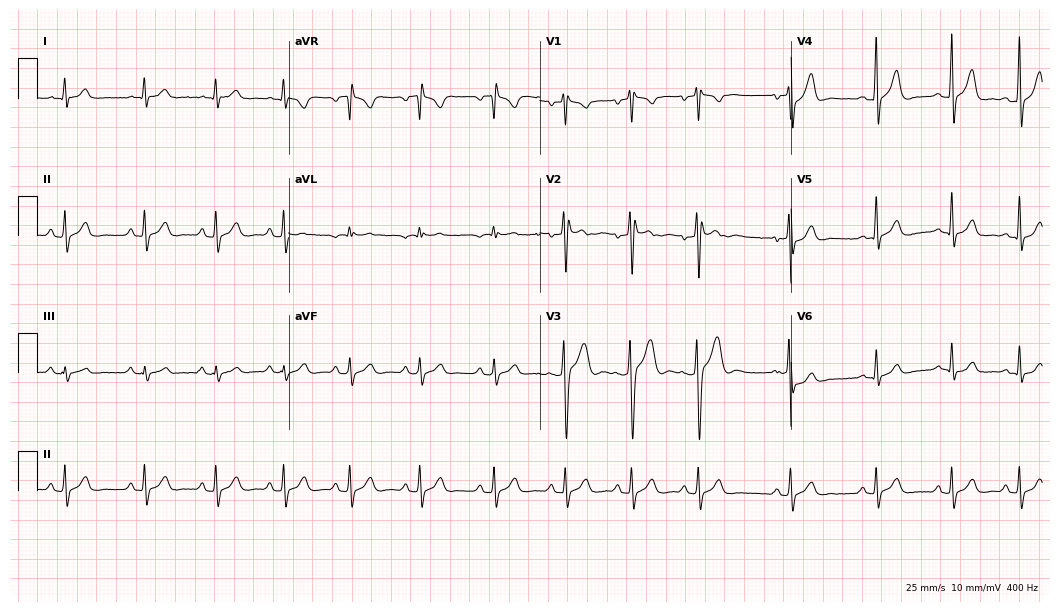
ECG — a 26-year-old man. Screened for six findings — first-degree AV block, right bundle branch block (RBBB), left bundle branch block (LBBB), sinus bradycardia, atrial fibrillation (AF), sinus tachycardia — none is recorded.